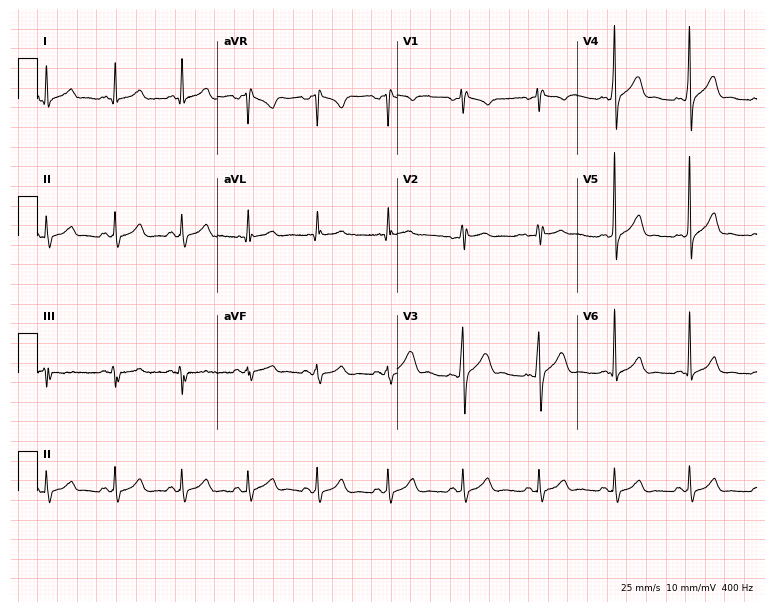
ECG — a 31-year-old male patient. Labelled as a normal ECG.